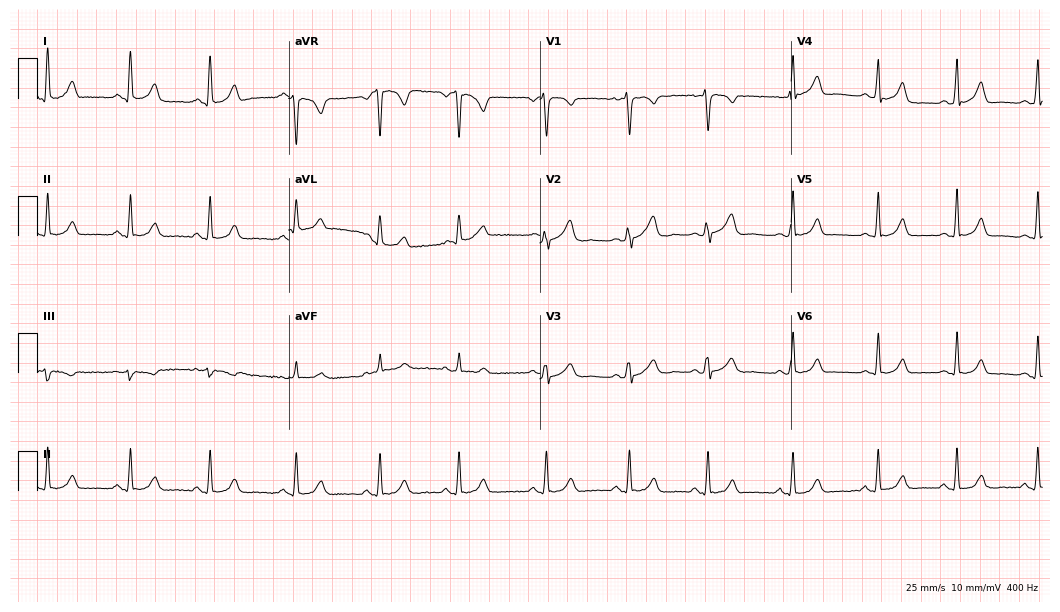
12-lead ECG from a 17-year-old woman. Recorded interpretation: within normal limits.